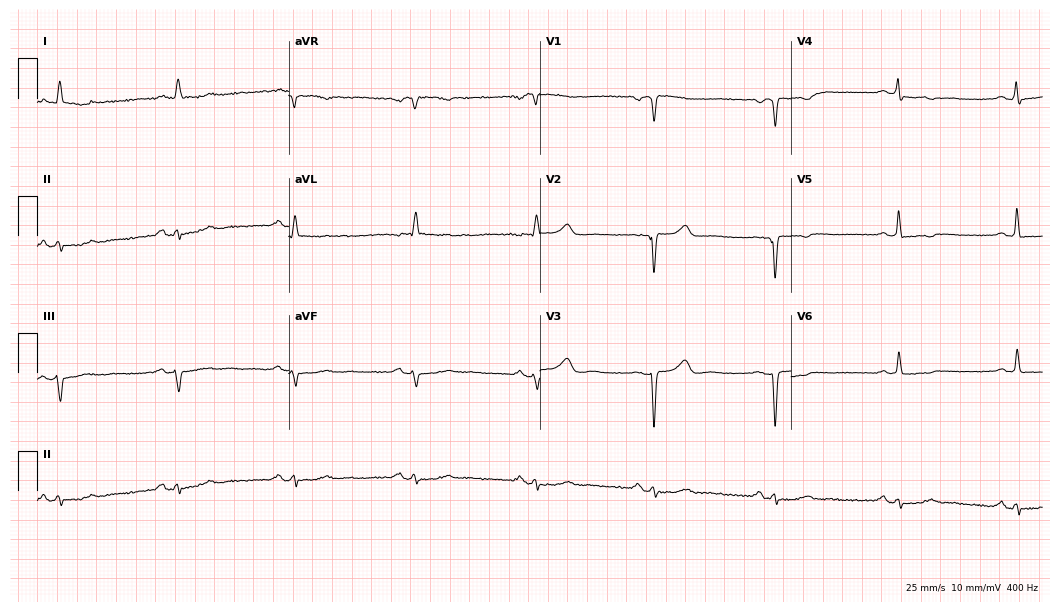
Electrocardiogram (10.2-second recording at 400 Hz), a woman, 73 years old. Of the six screened findings (first-degree AV block, right bundle branch block, left bundle branch block, sinus bradycardia, atrial fibrillation, sinus tachycardia), none is recorded. Other findings, if any, are not listed.